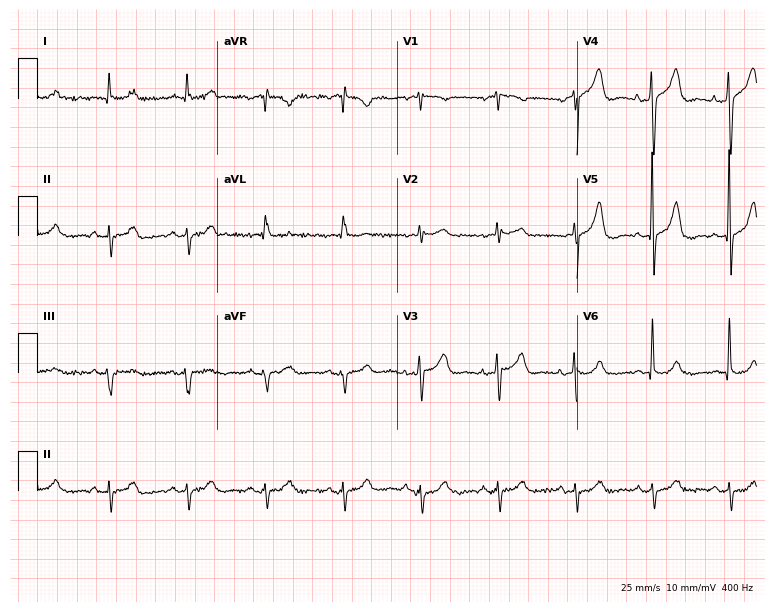
Resting 12-lead electrocardiogram. Patient: a man, 82 years old. None of these six findings is recorded: first-degree AV block, right bundle branch block, left bundle branch block, sinus bradycardia, atrial fibrillation, sinus tachycardia. Findings outside these six are not listed.